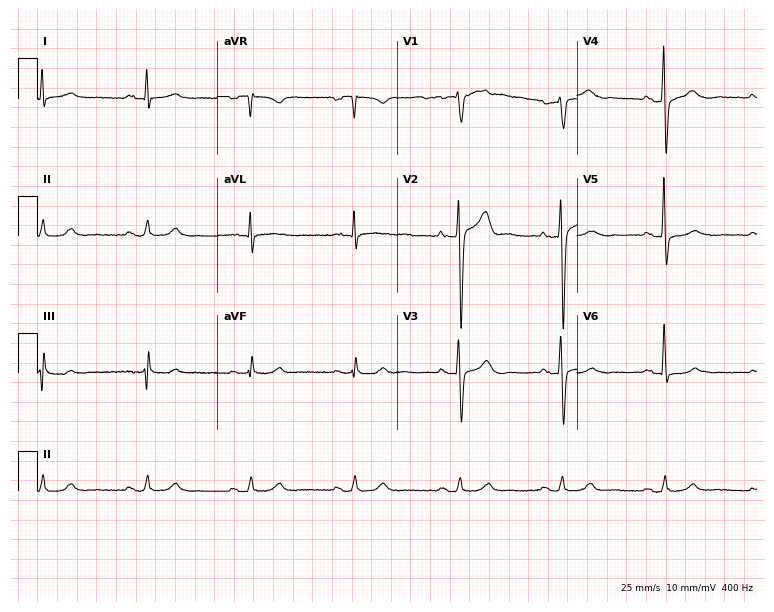
Standard 12-lead ECG recorded from a man, 45 years old. None of these six findings is recorded: first-degree AV block, right bundle branch block, left bundle branch block, sinus bradycardia, atrial fibrillation, sinus tachycardia.